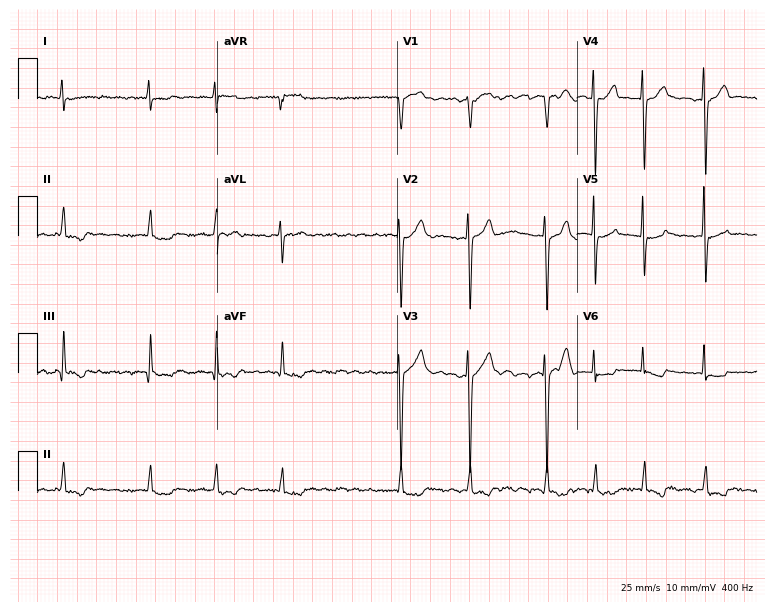
ECG (7.3-second recording at 400 Hz) — a woman, 76 years old. Findings include atrial fibrillation.